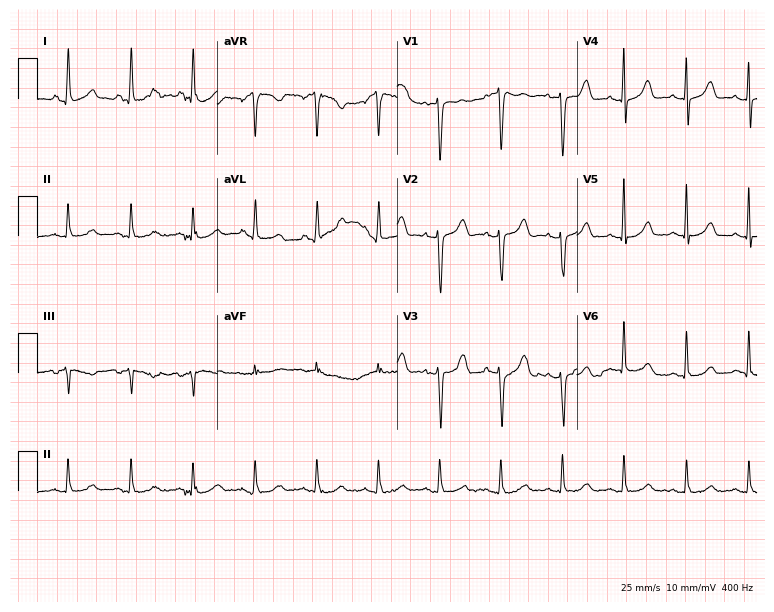
Electrocardiogram (7.3-second recording at 400 Hz), a female patient, 51 years old. Of the six screened findings (first-degree AV block, right bundle branch block (RBBB), left bundle branch block (LBBB), sinus bradycardia, atrial fibrillation (AF), sinus tachycardia), none is recorded. Findings outside these six are not listed.